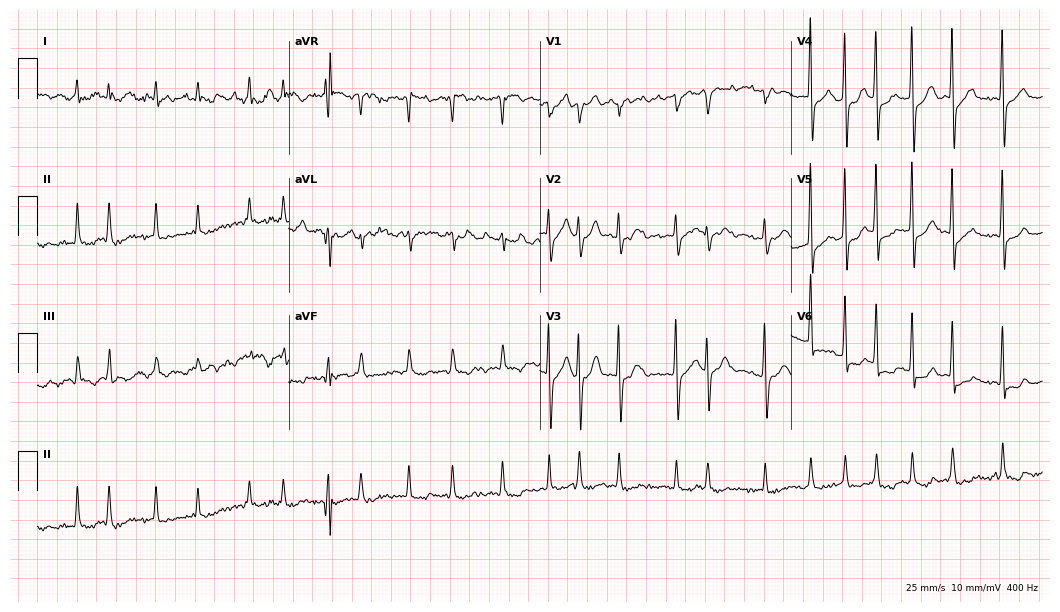
ECG (10.2-second recording at 400 Hz) — an 81-year-old male. Findings include atrial fibrillation (AF).